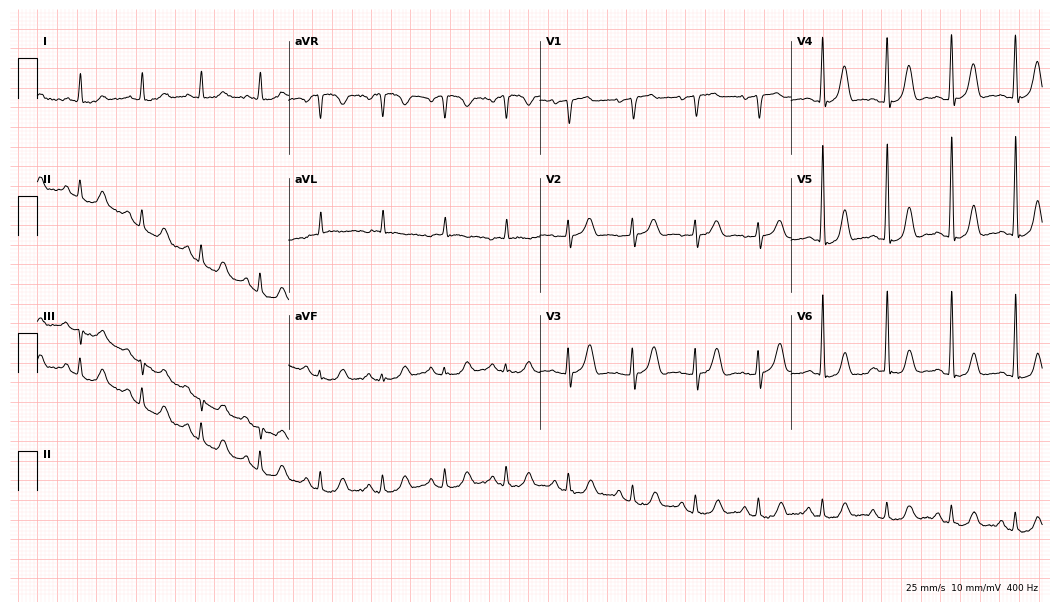
Standard 12-lead ECG recorded from a female, 69 years old (10.2-second recording at 400 Hz). Read as a normal ECG.